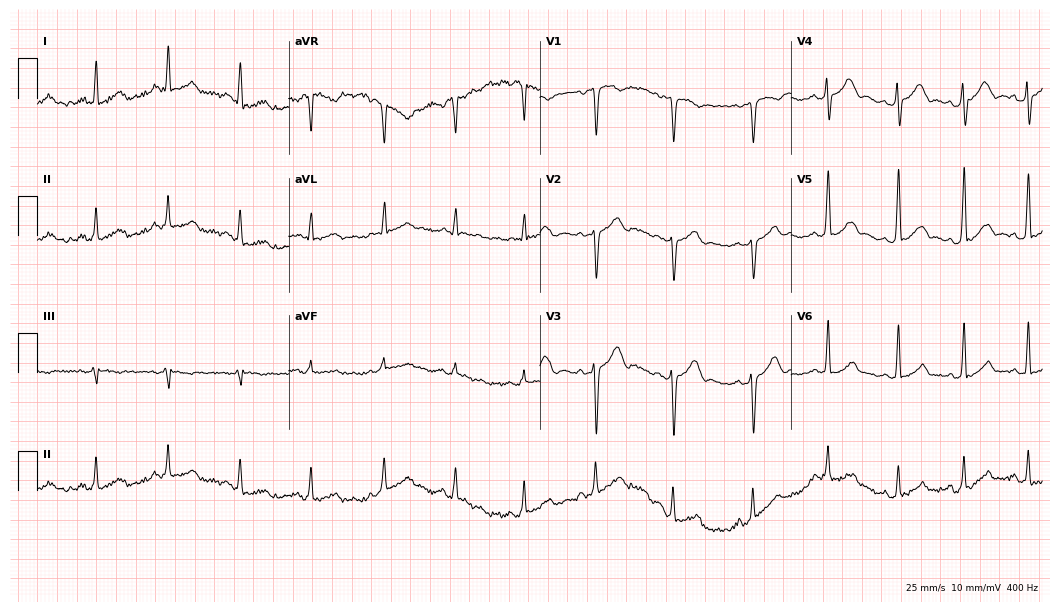
Electrocardiogram (10.2-second recording at 400 Hz), an 18-year-old male patient. Overall reading on record: normal ECG.